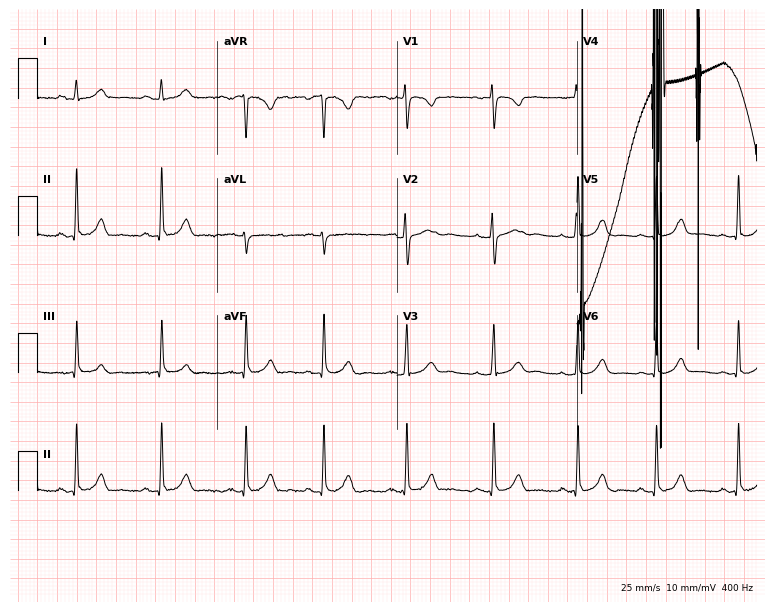
Resting 12-lead electrocardiogram. Patient: a 30-year-old female. None of these six findings is recorded: first-degree AV block, right bundle branch block, left bundle branch block, sinus bradycardia, atrial fibrillation, sinus tachycardia. Findings outside these six are not listed.